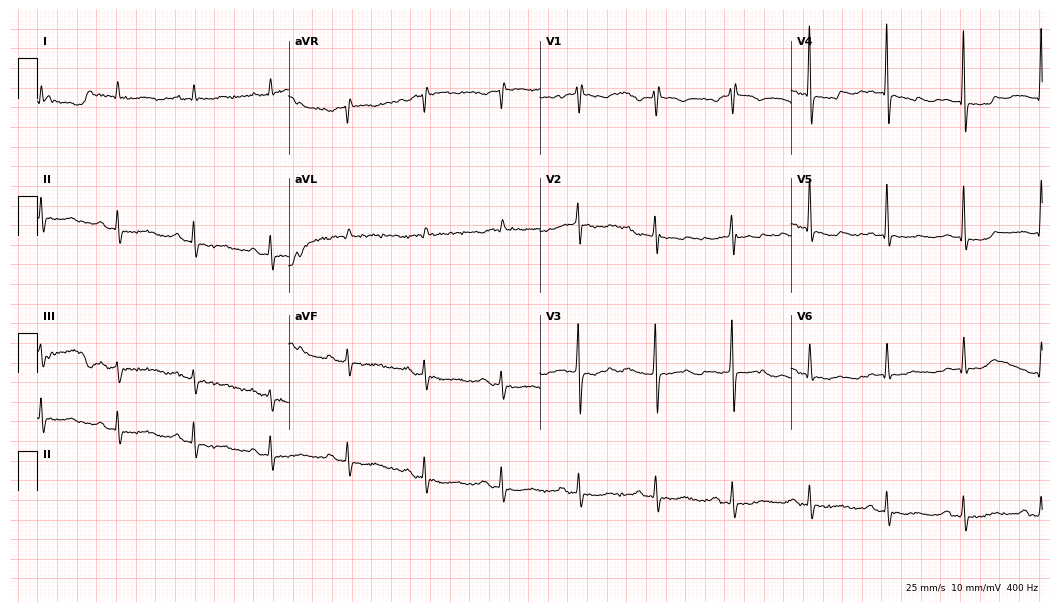
ECG (10.2-second recording at 400 Hz) — a male, 79 years old. Screened for six findings — first-degree AV block, right bundle branch block (RBBB), left bundle branch block (LBBB), sinus bradycardia, atrial fibrillation (AF), sinus tachycardia — none is recorded.